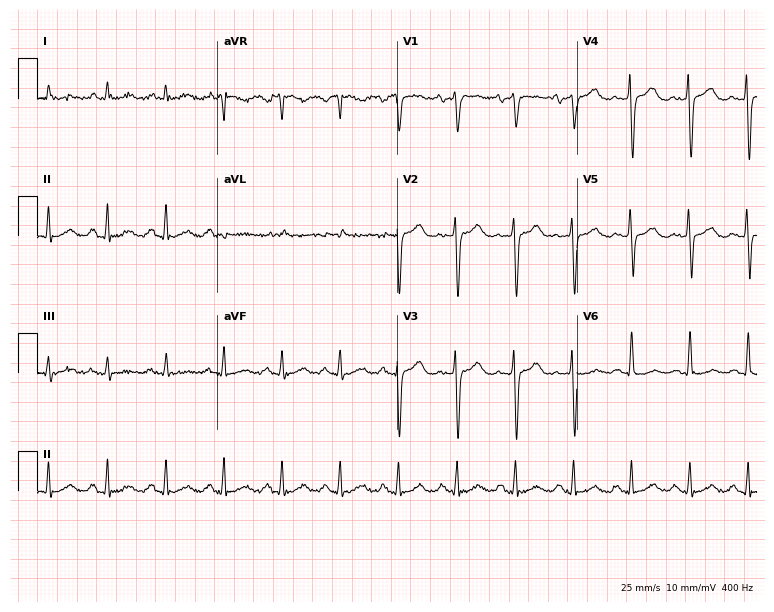
12-lead ECG from a 66-year-old female patient (7.3-second recording at 400 Hz). No first-degree AV block, right bundle branch block (RBBB), left bundle branch block (LBBB), sinus bradycardia, atrial fibrillation (AF) or sinus tachycardia recorded for this tracing. Findings outside these six are not listed.